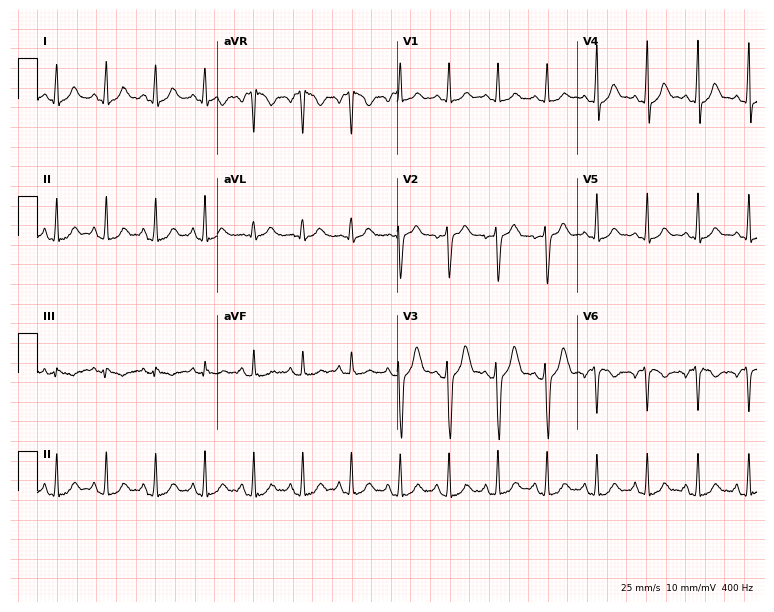
12-lead ECG from a female patient, 26 years old. Shows sinus tachycardia (a sinus rate of 100 beats per minute or more).